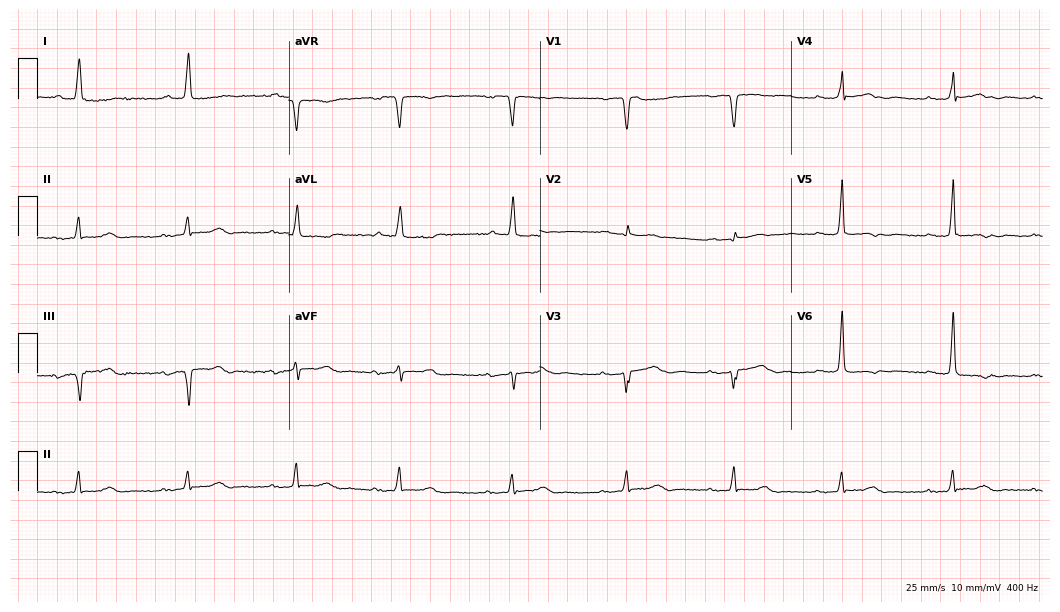
12-lead ECG (10.2-second recording at 400 Hz) from a female patient, 74 years old. Screened for six findings — first-degree AV block, right bundle branch block, left bundle branch block, sinus bradycardia, atrial fibrillation, sinus tachycardia — none is recorded. Other findings, if any, are not listed.